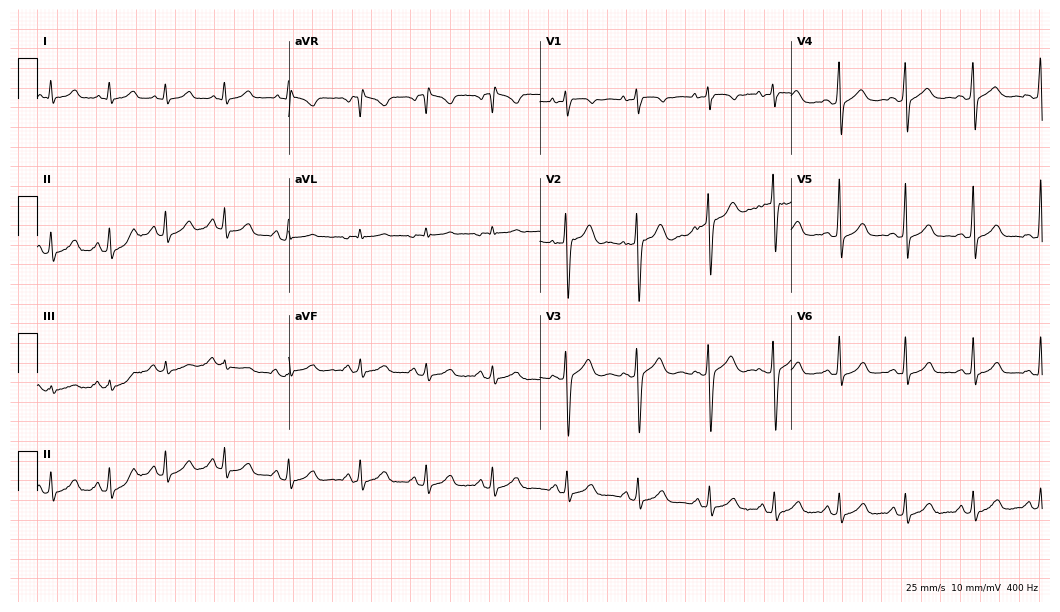
Resting 12-lead electrocardiogram (10.2-second recording at 400 Hz). Patient: a 21-year-old female. Read as a normal ECG.